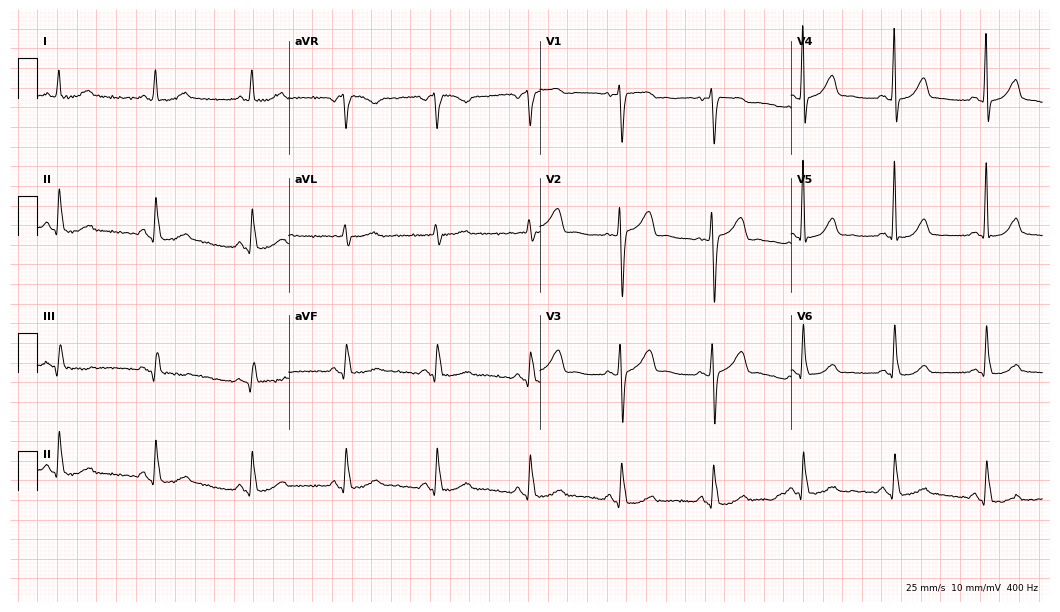
12-lead ECG from a female, 52 years old. No first-degree AV block, right bundle branch block (RBBB), left bundle branch block (LBBB), sinus bradycardia, atrial fibrillation (AF) or sinus tachycardia recorded for this tracing.